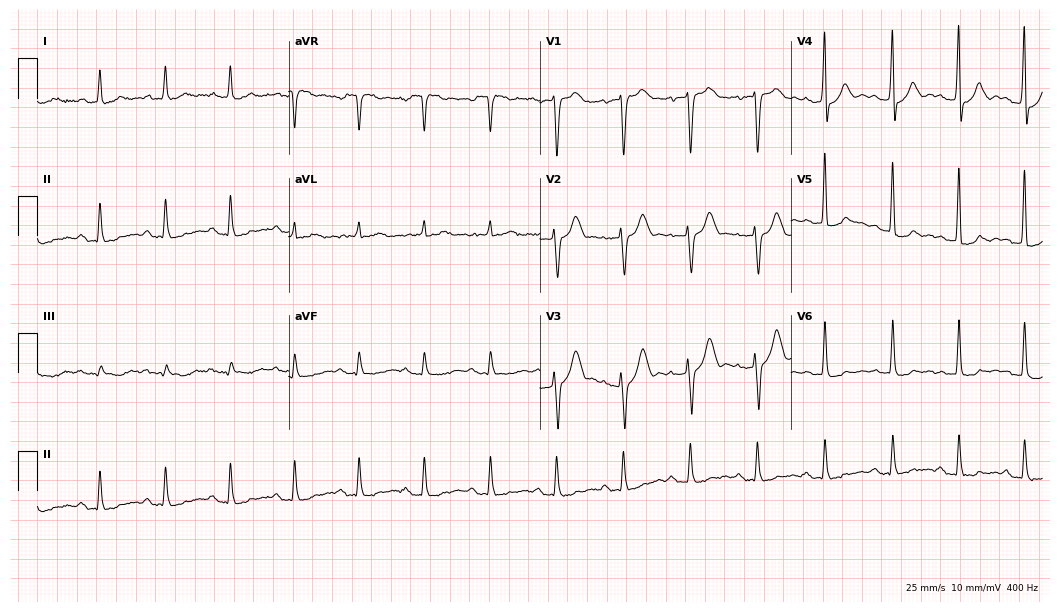
12-lead ECG from a 68-year-old male patient. Screened for six findings — first-degree AV block, right bundle branch block, left bundle branch block, sinus bradycardia, atrial fibrillation, sinus tachycardia — none is recorded.